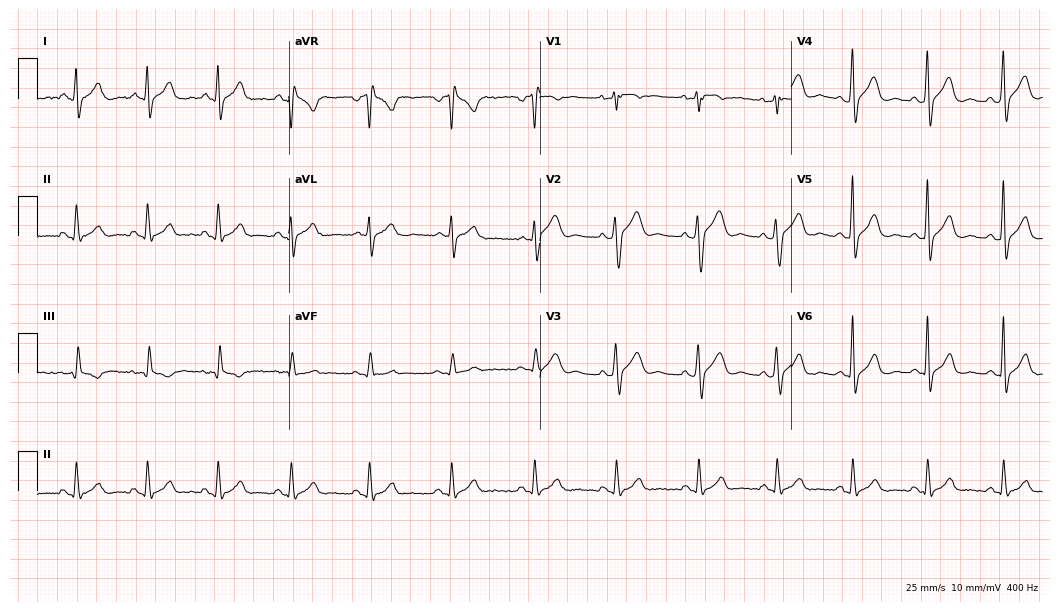
ECG (10.2-second recording at 400 Hz) — a 48-year-old man. Labelled as a normal ECG.